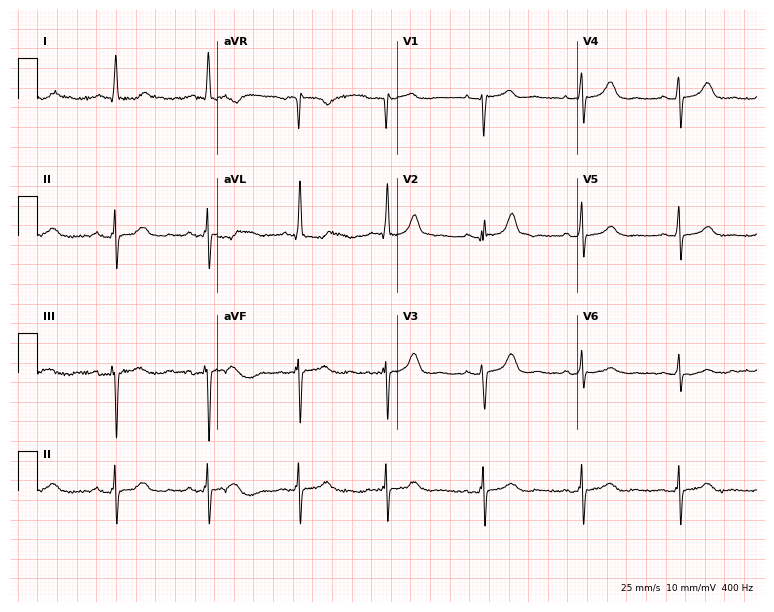
Standard 12-lead ECG recorded from a woman, 85 years old. None of these six findings is recorded: first-degree AV block, right bundle branch block (RBBB), left bundle branch block (LBBB), sinus bradycardia, atrial fibrillation (AF), sinus tachycardia.